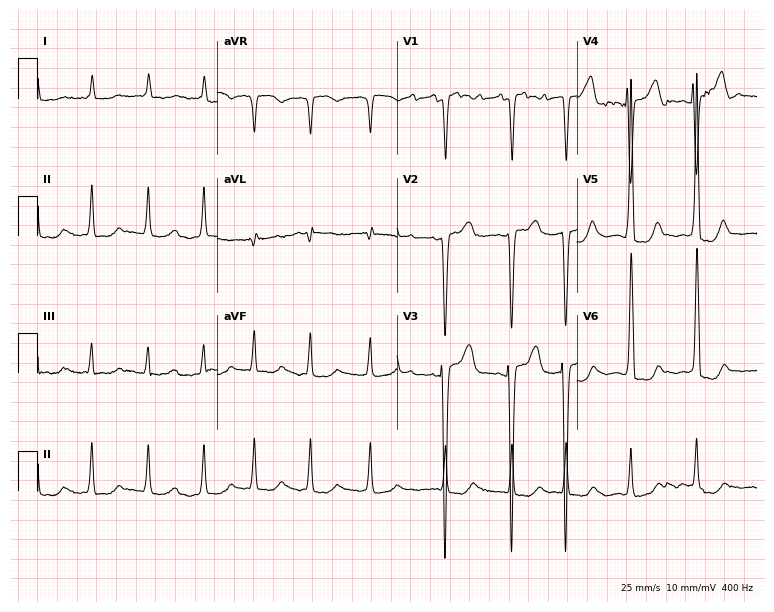
Electrocardiogram, a woman, 82 years old. Interpretation includes atrial fibrillation (AF).